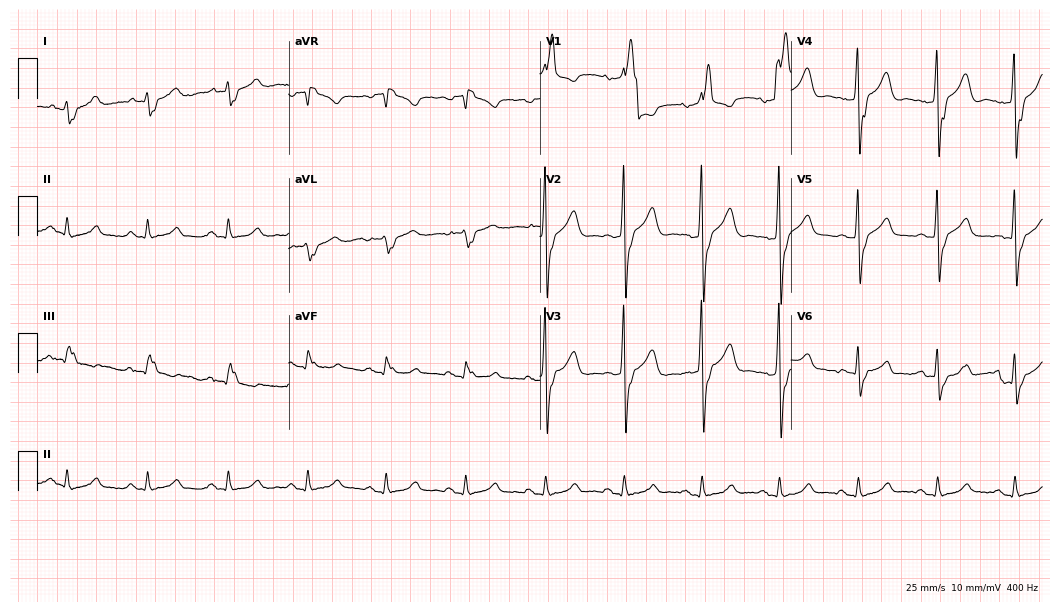
12-lead ECG (10.2-second recording at 400 Hz) from a male, 66 years old. Findings include right bundle branch block.